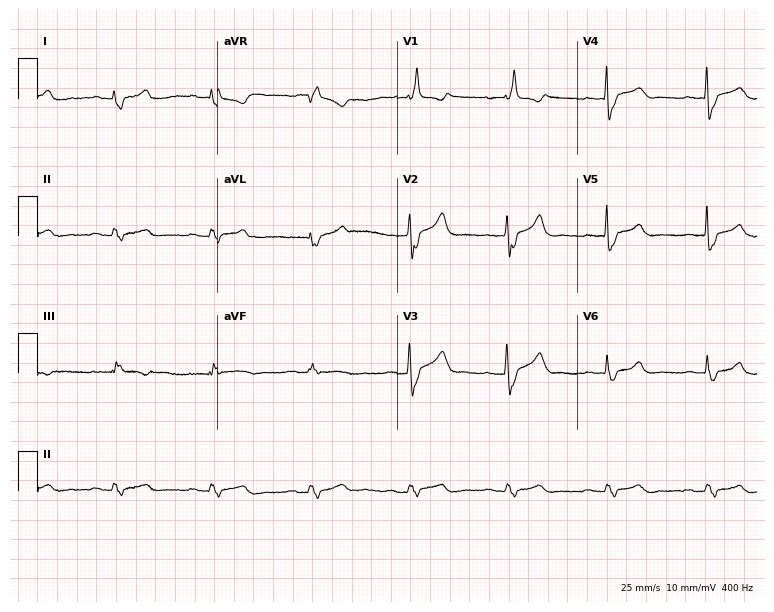
12-lead ECG from a 56-year-old male patient. Findings include right bundle branch block.